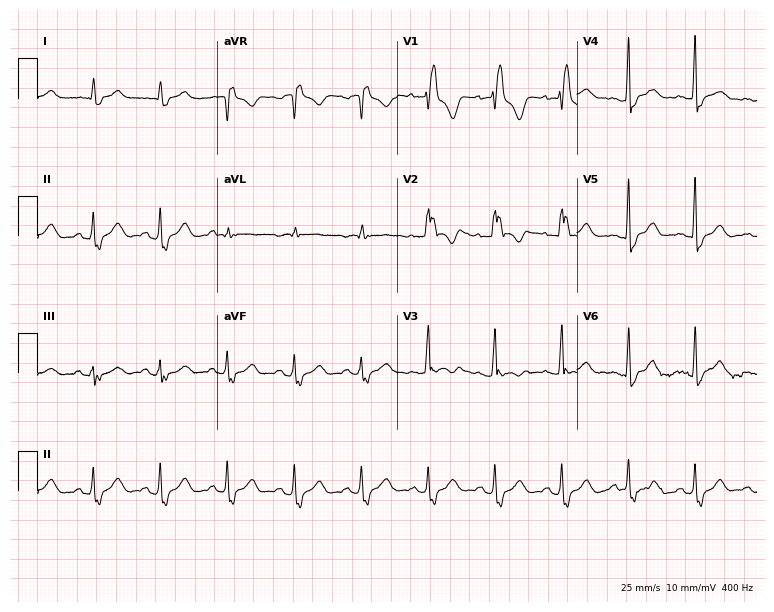
ECG — a 44-year-old man. Findings include right bundle branch block.